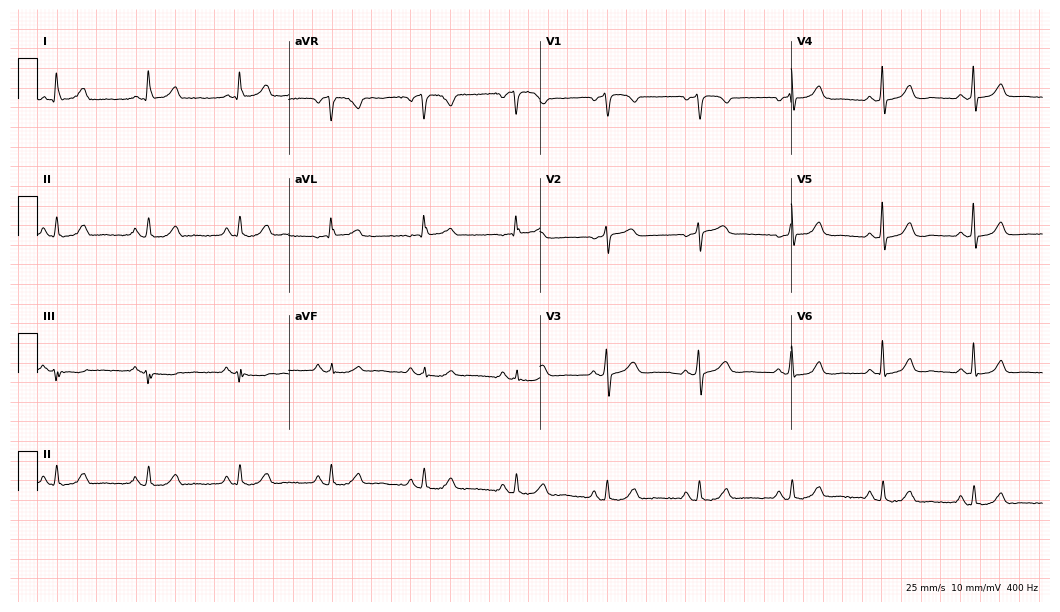
Electrocardiogram (10.2-second recording at 400 Hz), a 67-year-old woman. Overall reading on record: normal ECG.